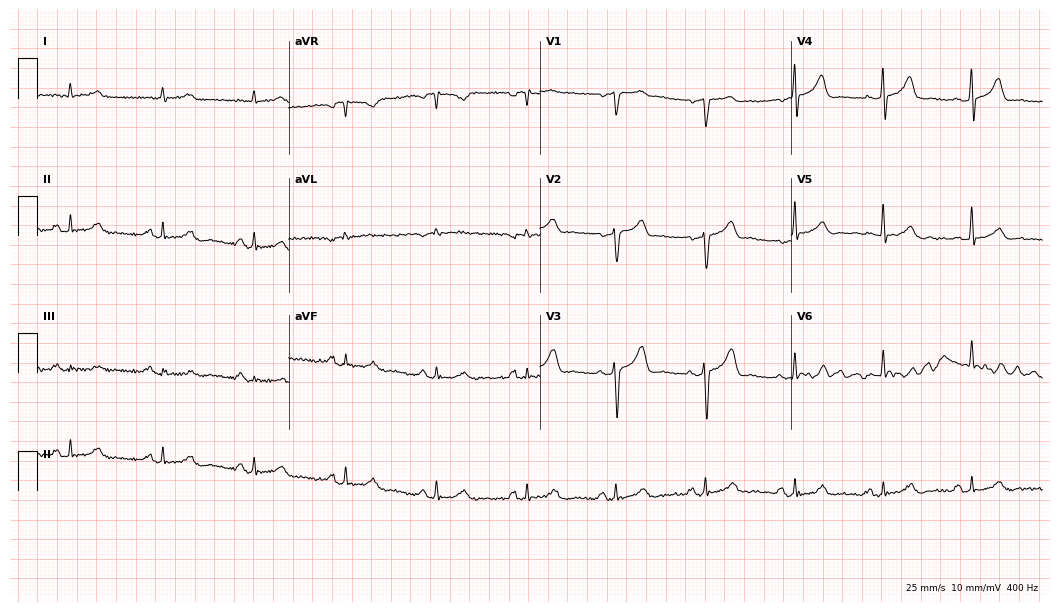
12-lead ECG from a man, 65 years old. Labelled as a normal ECG.